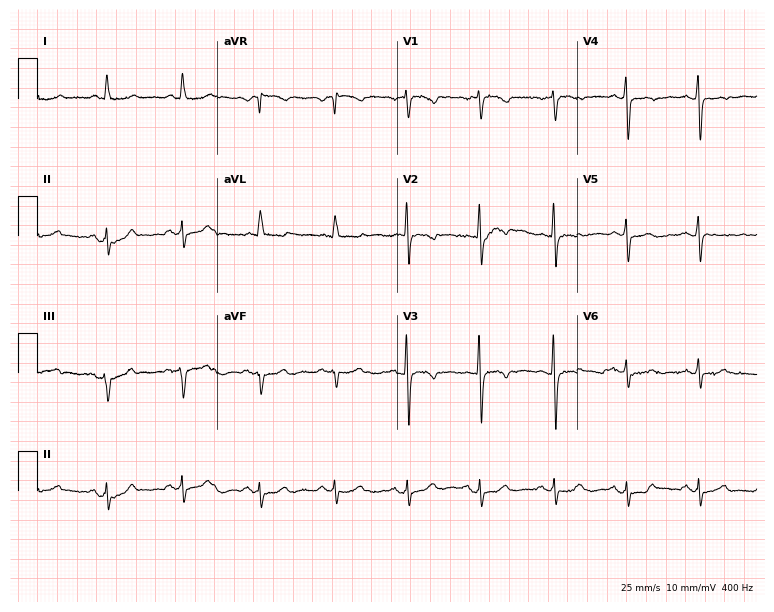
Resting 12-lead electrocardiogram. Patient: a 62-year-old woman. None of these six findings is recorded: first-degree AV block, right bundle branch block, left bundle branch block, sinus bradycardia, atrial fibrillation, sinus tachycardia. Only these six findings were labelled.